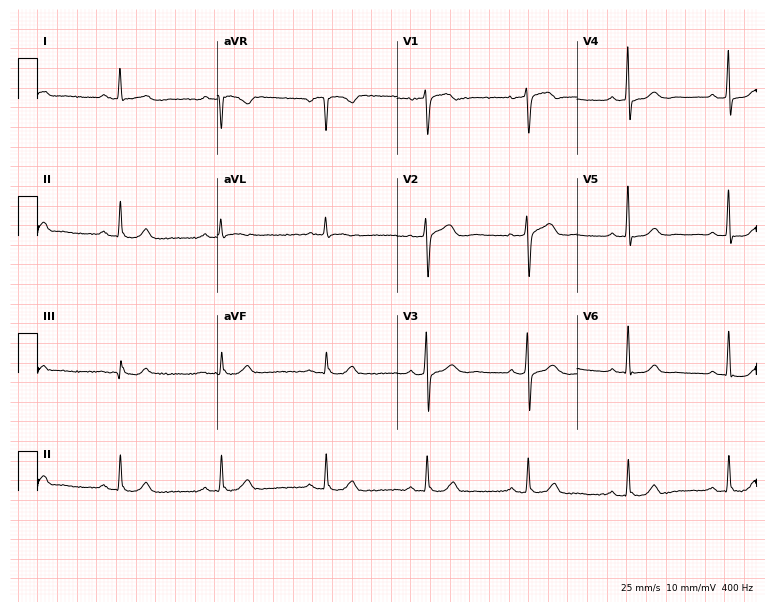
12-lead ECG (7.3-second recording at 400 Hz) from a 68-year-old woman. Screened for six findings — first-degree AV block, right bundle branch block, left bundle branch block, sinus bradycardia, atrial fibrillation, sinus tachycardia — none is recorded.